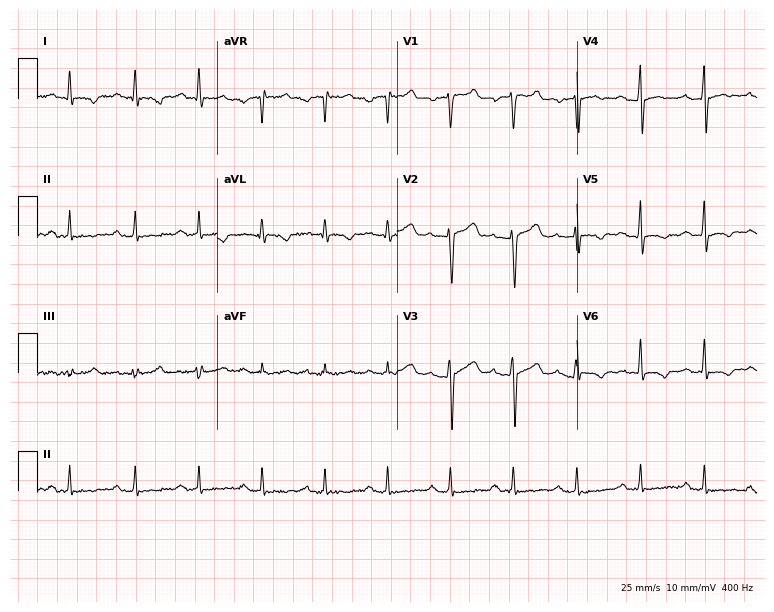
12-lead ECG from a 41-year-old male patient. No first-degree AV block, right bundle branch block (RBBB), left bundle branch block (LBBB), sinus bradycardia, atrial fibrillation (AF) or sinus tachycardia recorded for this tracing.